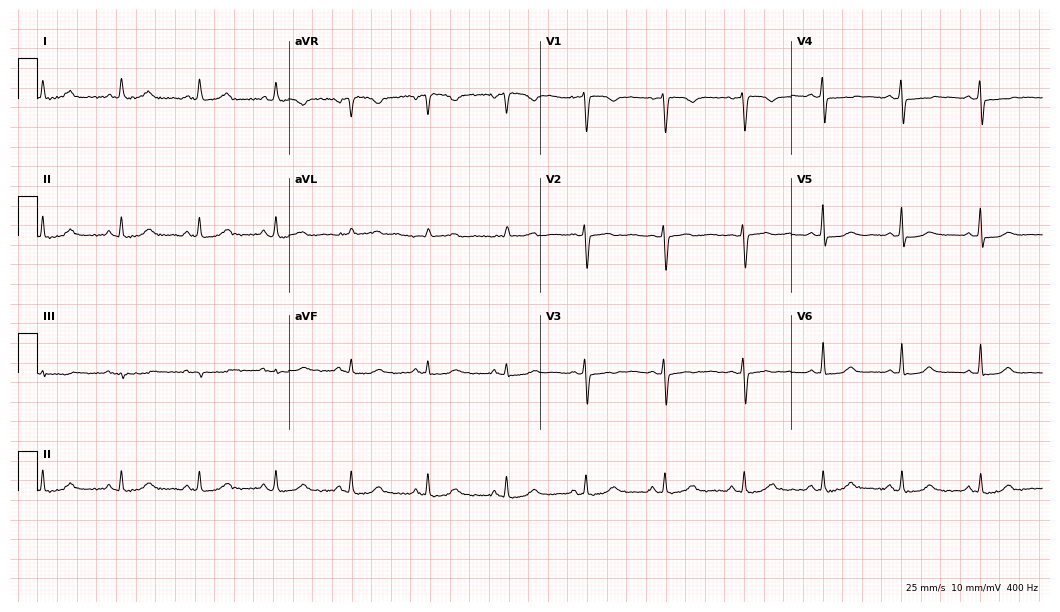
Standard 12-lead ECG recorded from a 64-year-old woman. None of these six findings is recorded: first-degree AV block, right bundle branch block, left bundle branch block, sinus bradycardia, atrial fibrillation, sinus tachycardia.